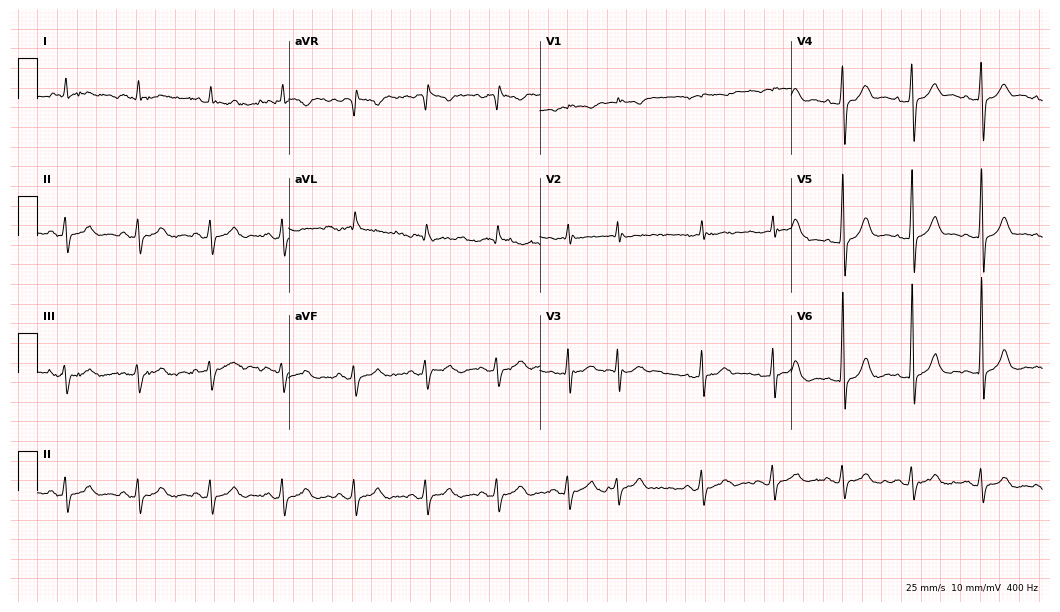
ECG — a 74-year-old man. Screened for six findings — first-degree AV block, right bundle branch block (RBBB), left bundle branch block (LBBB), sinus bradycardia, atrial fibrillation (AF), sinus tachycardia — none is recorded. Other findings, if any, are not listed.